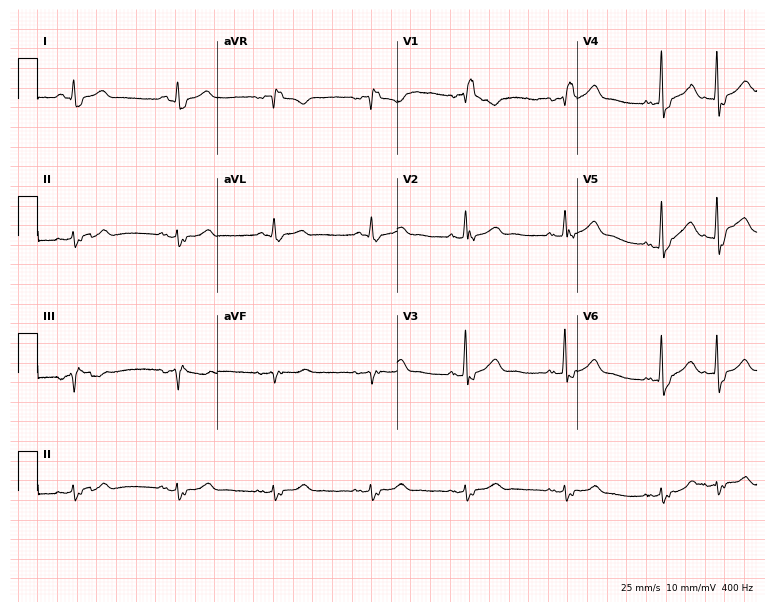
Resting 12-lead electrocardiogram. Patient: a 70-year-old male. The tracing shows right bundle branch block.